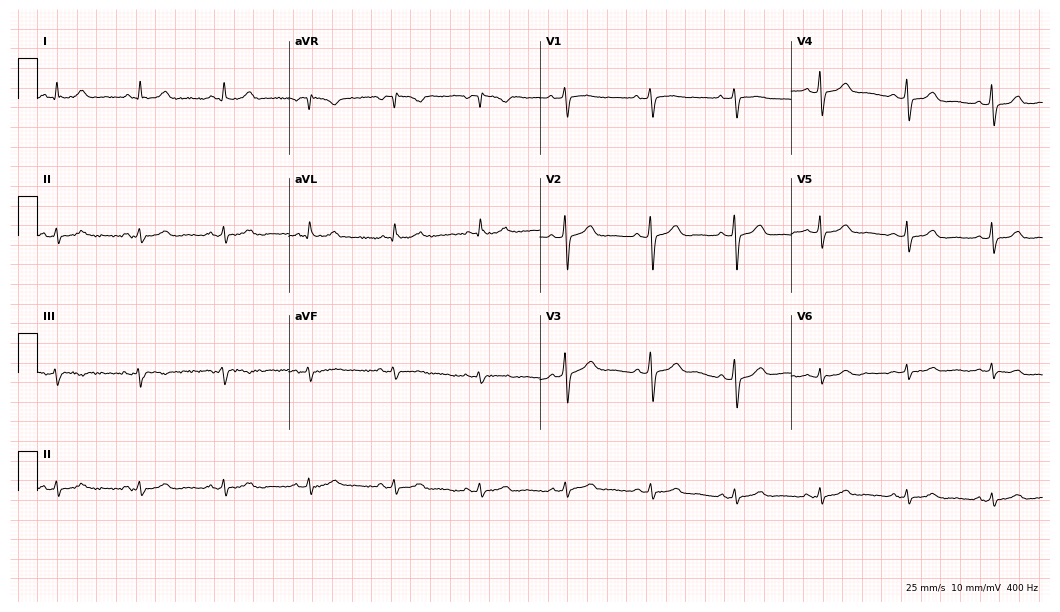
Resting 12-lead electrocardiogram (10.2-second recording at 400 Hz). Patient: a 74-year-old female. Read as a normal ECG.